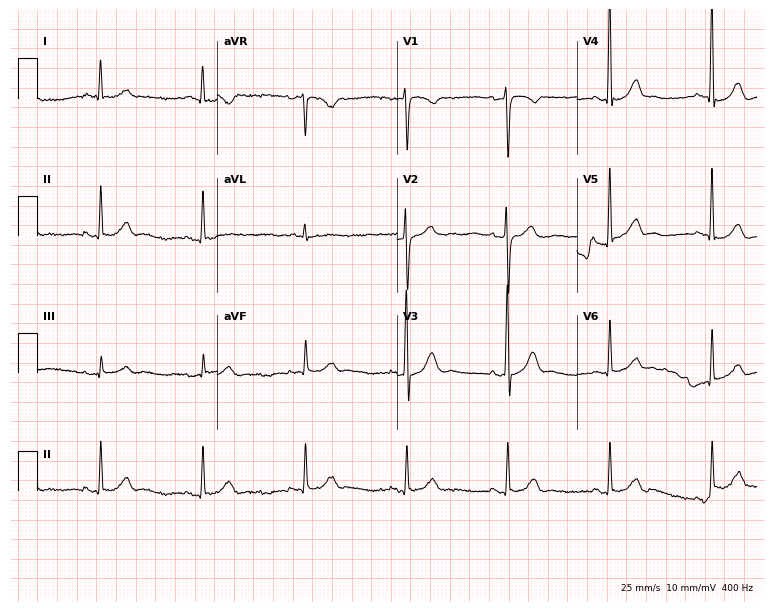
Standard 12-lead ECG recorded from a 44-year-old male patient (7.3-second recording at 400 Hz). None of these six findings is recorded: first-degree AV block, right bundle branch block, left bundle branch block, sinus bradycardia, atrial fibrillation, sinus tachycardia.